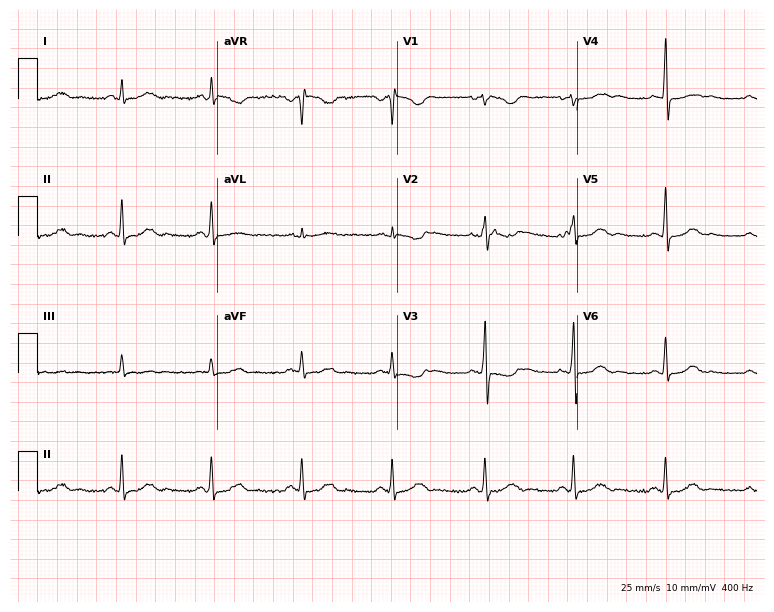
Standard 12-lead ECG recorded from a 44-year-old woman. Read as a normal ECG.